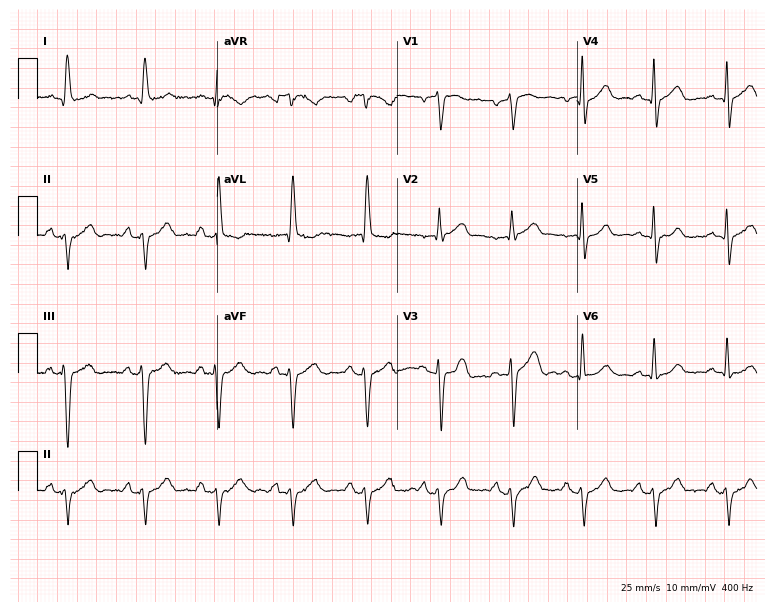
12-lead ECG from a 63-year-old male patient (7.3-second recording at 400 Hz). No first-degree AV block, right bundle branch block (RBBB), left bundle branch block (LBBB), sinus bradycardia, atrial fibrillation (AF) or sinus tachycardia recorded for this tracing.